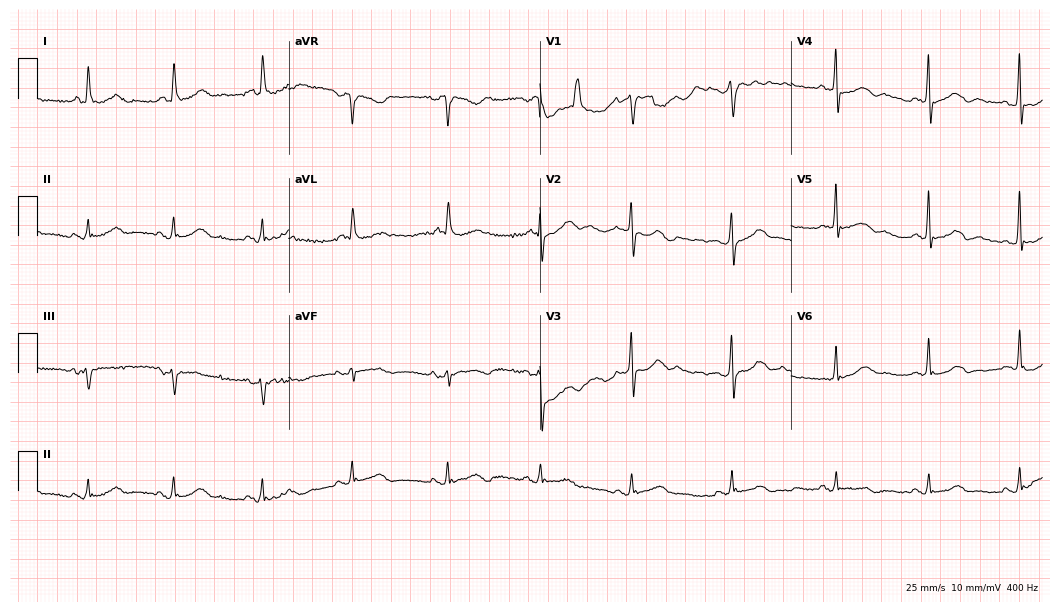
12-lead ECG from a 79-year-old woman. Labelled as a normal ECG.